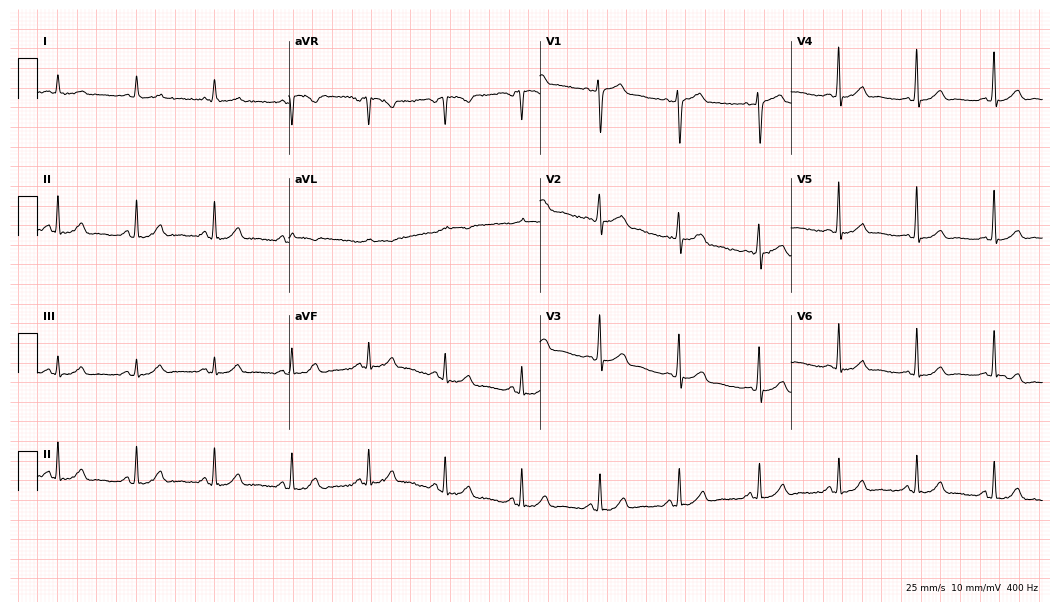
Standard 12-lead ECG recorded from a man, 56 years old. Read as a normal ECG.